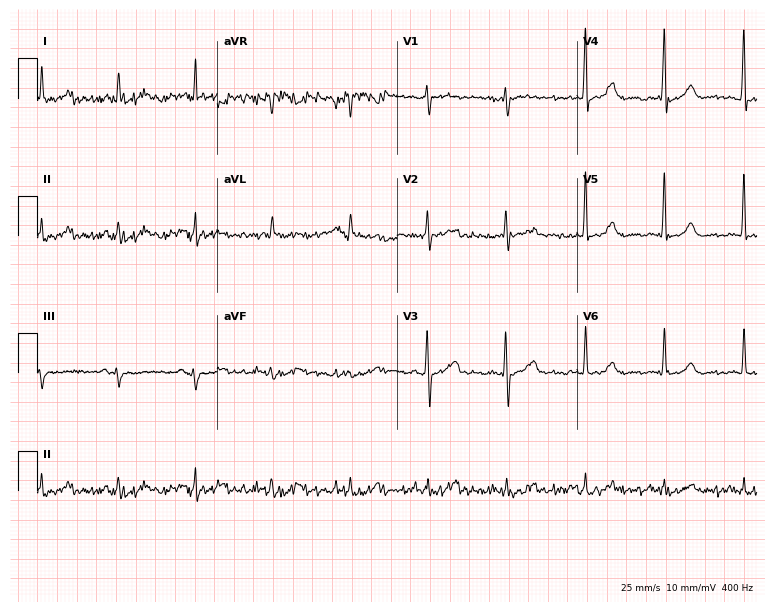
Resting 12-lead electrocardiogram. Patient: an 81-year-old male. None of these six findings is recorded: first-degree AV block, right bundle branch block, left bundle branch block, sinus bradycardia, atrial fibrillation, sinus tachycardia.